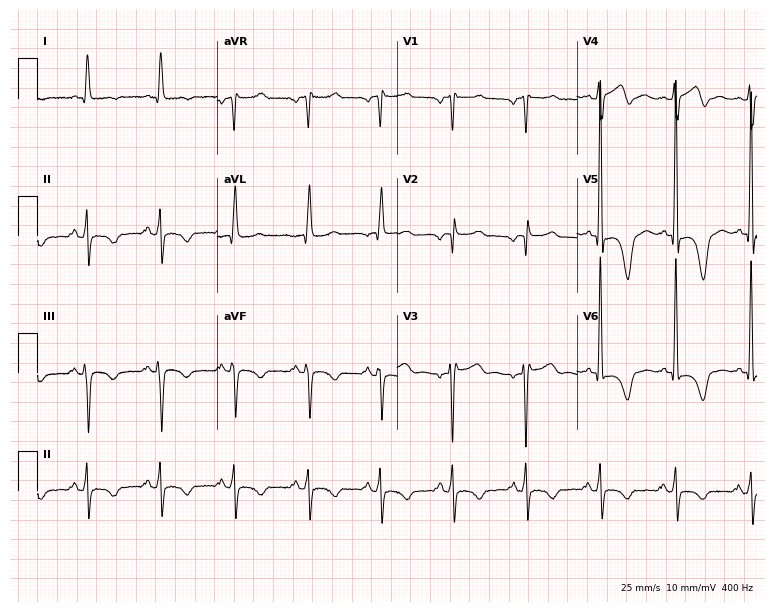
12-lead ECG from a woman, 68 years old (7.3-second recording at 400 Hz). No first-degree AV block, right bundle branch block, left bundle branch block, sinus bradycardia, atrial fibrillation or sinus tachycardia recorded for this tracing.